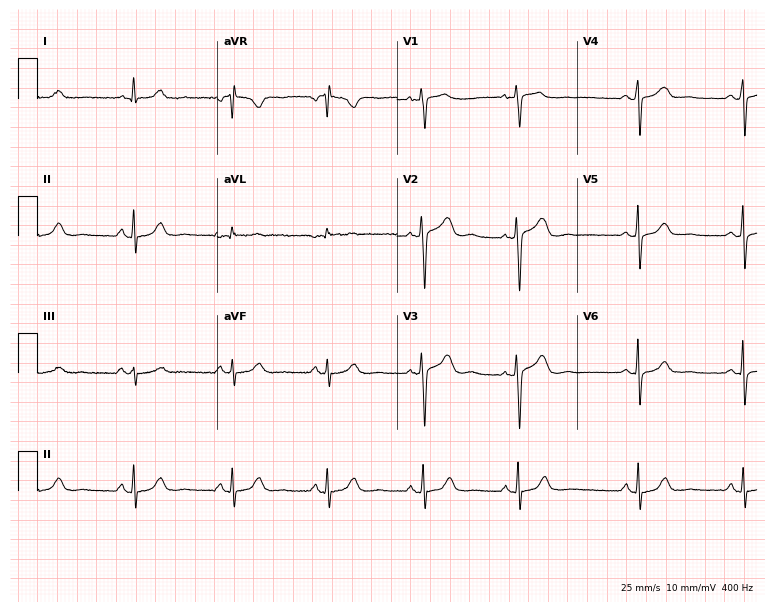
ECG (7.3-second recording at 400 Hz) — a woman, 61 years old. Labelled as a normal ECG.